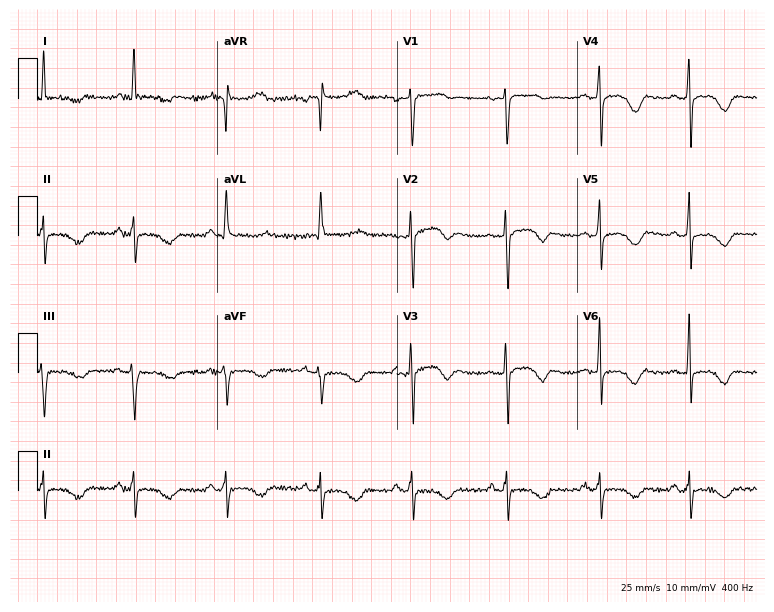
Electrocardiogram (7.3-second recording at 400 Hz), a woman, 27 years old. Of the six screened findings (first-degree AV block, right bundle branch block (RBBB), left bundle branch block (LBBB), sinus bradycardia, atrial fibrillation (AF), sinus tachycardia), none is recorded.